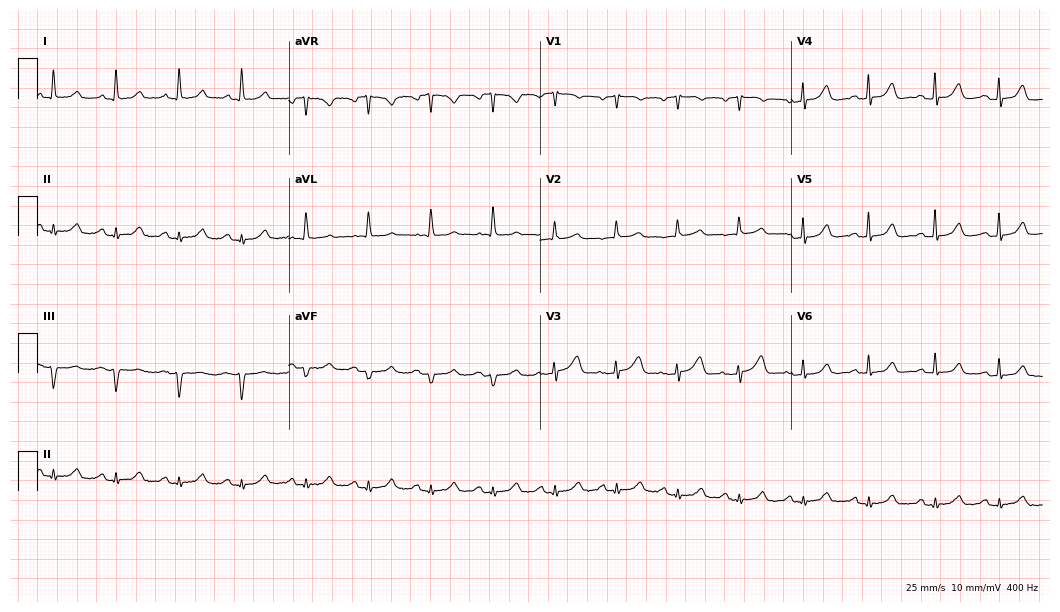
12-lead ECG from a female, 68 years old (10.2-second recording at 400 Hz). Recorded interpretation: within normal limits.